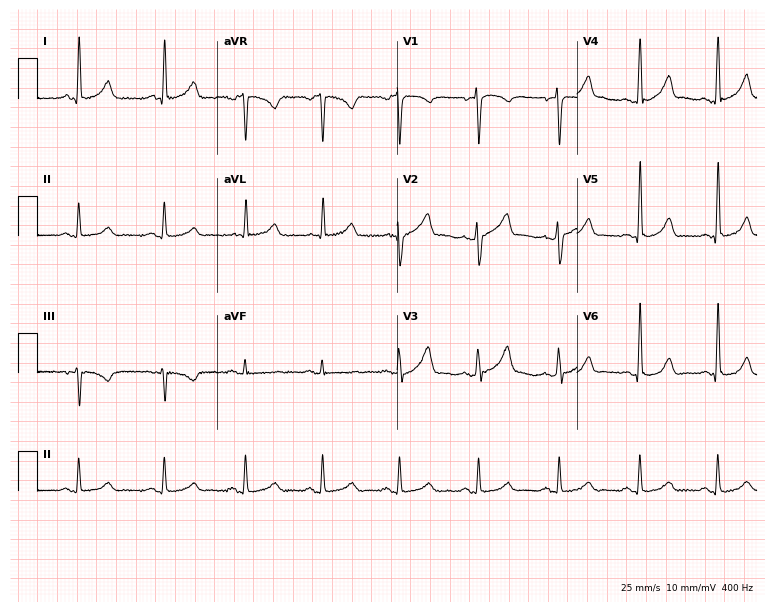
Resting 12-lead electrocardiogram. Patient: a 44-year-old man. None of these six findings is recorded: first-degree AV block, right bundle branch block (RBBB), left bundle branch block (LBBB), sinus bradycardia, atrial fibrillation (AF), sinus tachycardia.